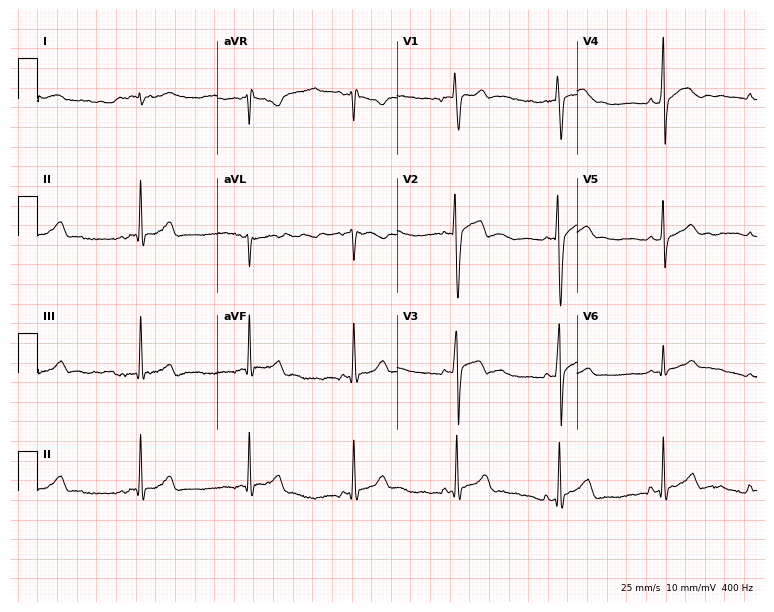
Electrocardiogram, a male, 18 years old. Of the six screened findings (first-degree AV block, right bundle branch block, left bundle branch block, sinus bradycardia, atrial fibrillation, sinus tachycardia), none is recorded.